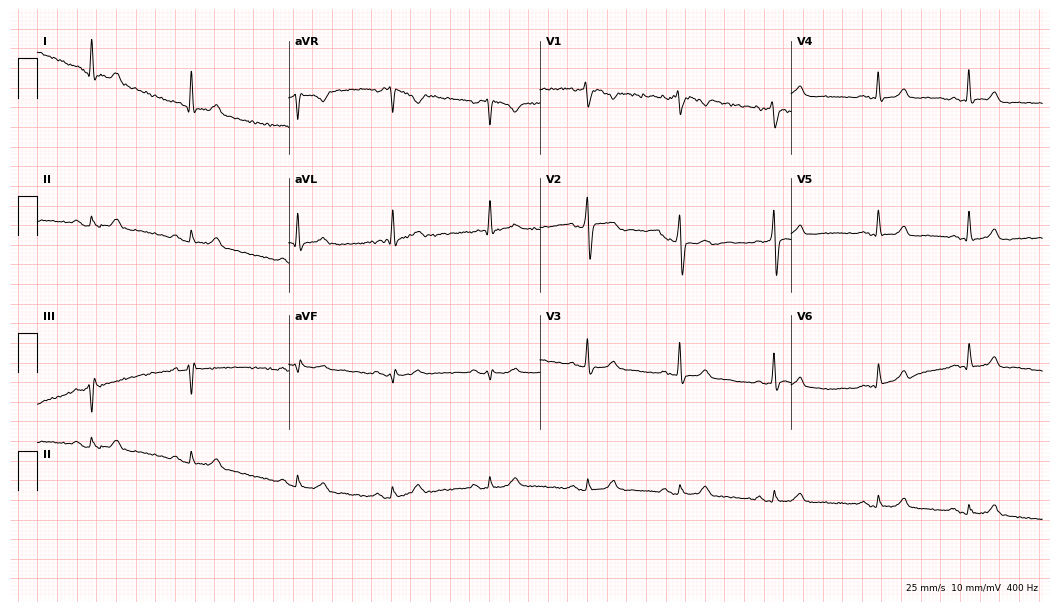
ECG (10.2-second recording at 400 Hz) — a 35-year-old man. Screened for six findings — first-degree AV block, right bundle branch block, left bundle branch block, sinus bradycardia, atrial fibrillation, sinus tachycardia — none is recorded. Only these six findings were labelled.